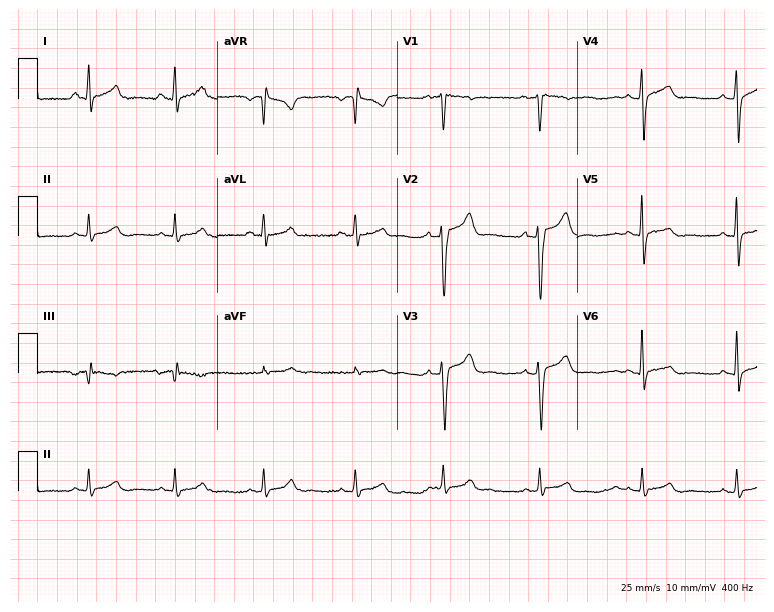
Standard 12-lead ECG recorded from a 25-year-old man. Read as a normal ECG.